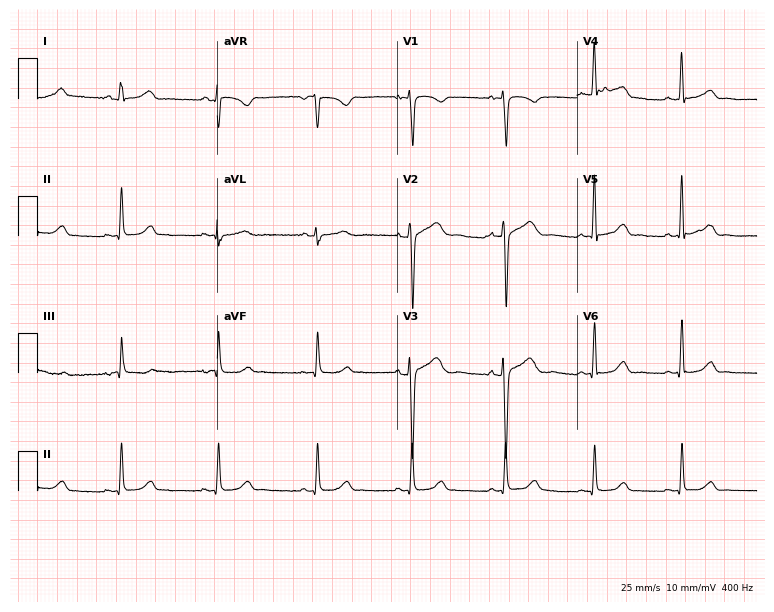
Resting 12-lead electrocardiogram (7.3-second recording at 400 Hz). Patient: a female, 19 years old. Read as a normal ECG.